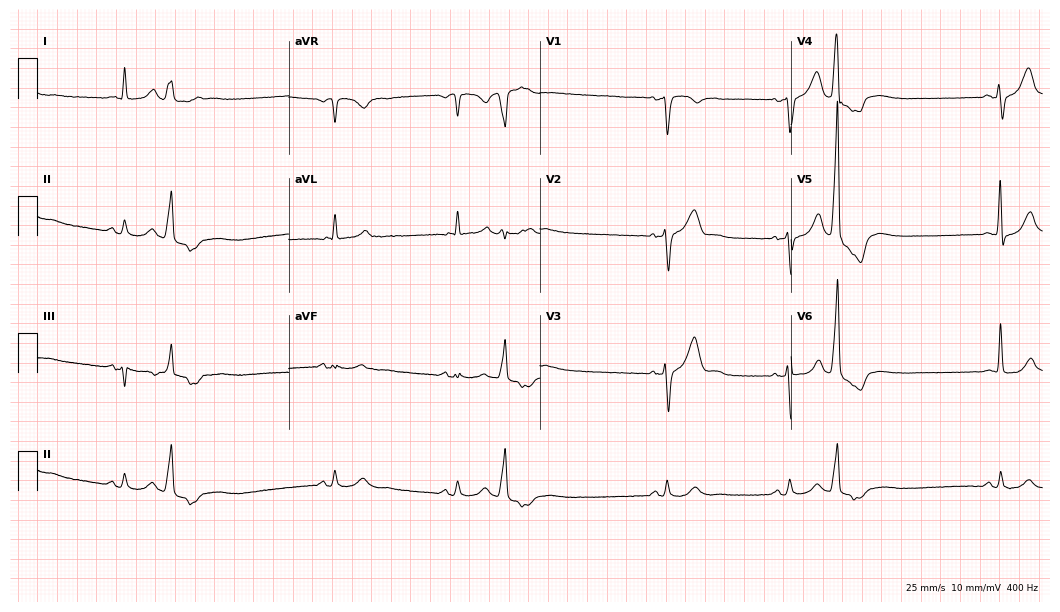
12-lead ECG from a man, 58 years old. Shows sinus bradycardia (a sinus rate of 50 beats per minute or less).